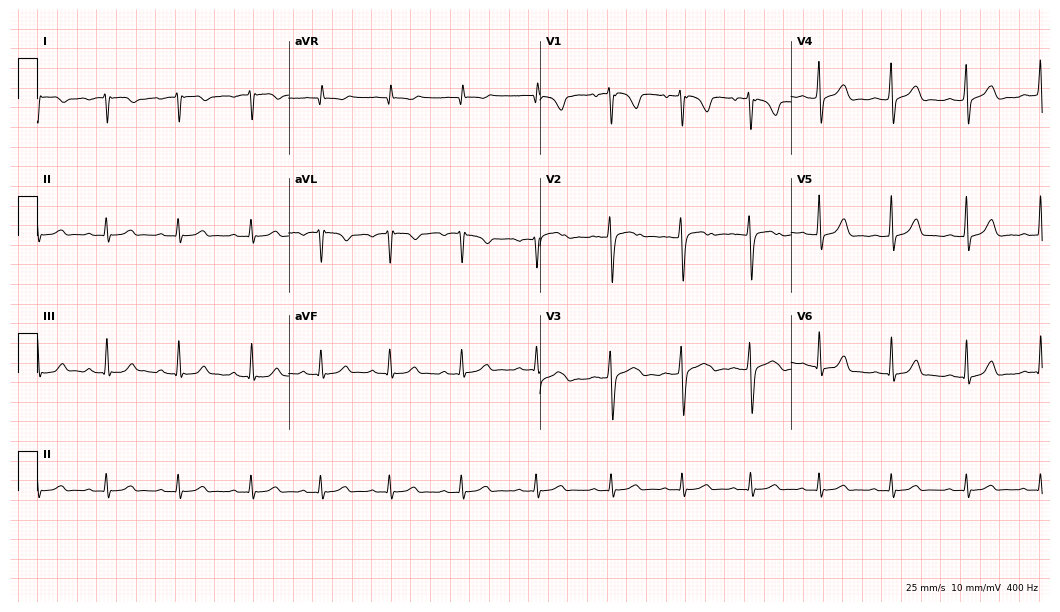
ECG (10.2-second recording at 400 Hz) — an 18-year-old woman. Screened for six findings — first-degree AV block, right bundle branch block (RBBB), left bundle branch block (LBBB), sinus bradycardia, atrial fibrillation (AF), sinus tachycardia — none is recorded. Only these six findings were labelled.